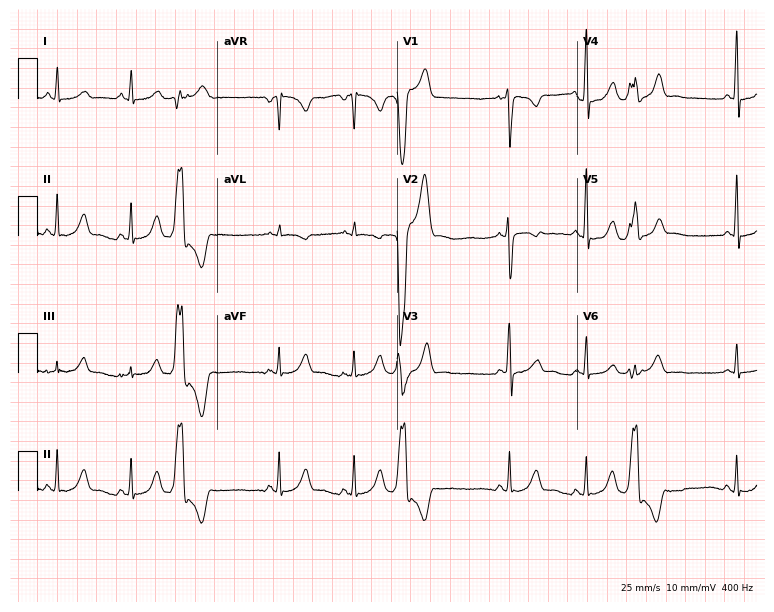
ECG — a female patient, 34 years old. Labelled as a normal ECG.